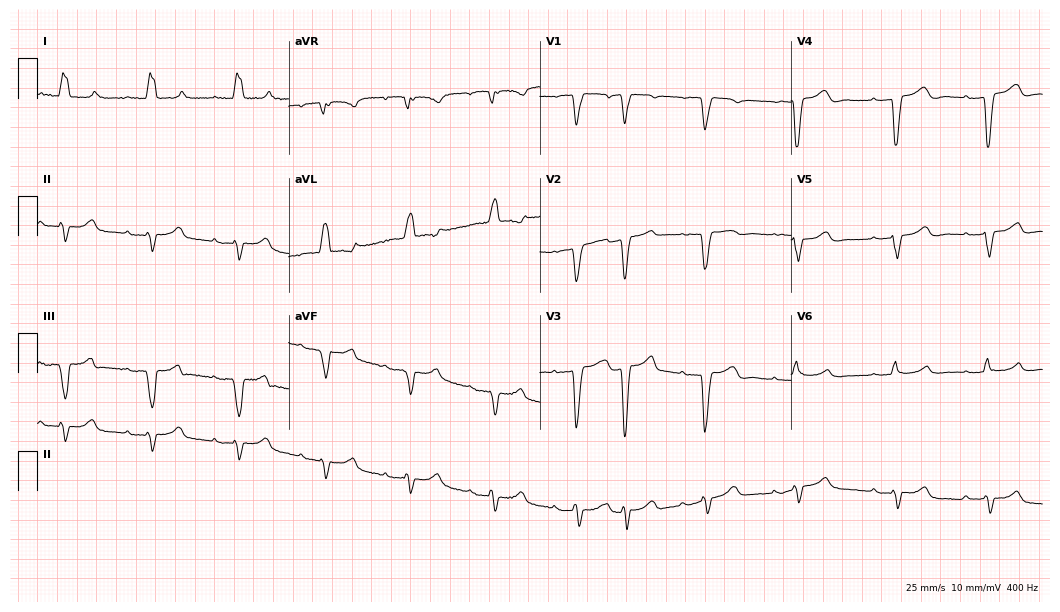
Resting 12-lead electrocardiogram (10.2-second recording at 400 Hz). Patient: a woman, 77 years old. The tracing shows first-degree AV block.